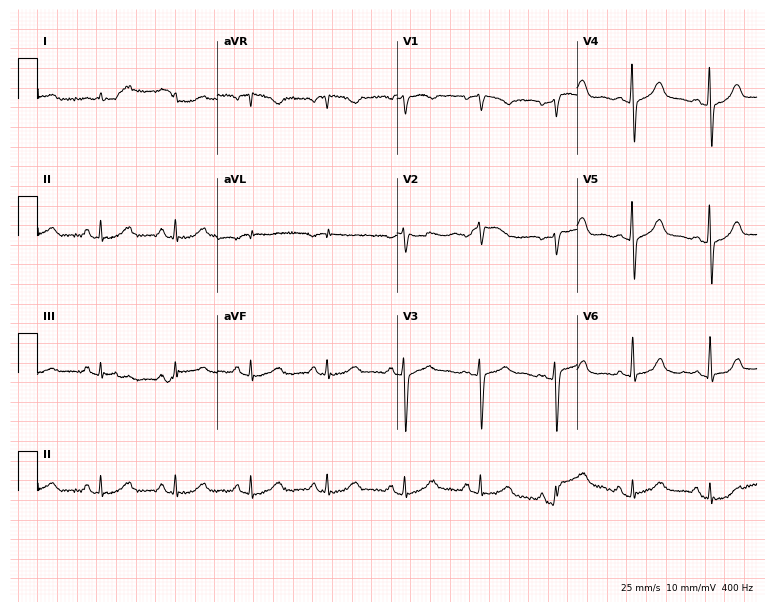
Electrocardiogram, a female, 78 years old. Of the six screened findings (first-degree AV block, right bundle branch block, left bundle branch block, sinus bradycardia, atrial fibrillation, sinus tachycardia), none is recorded. Findings outside these six are not listed.